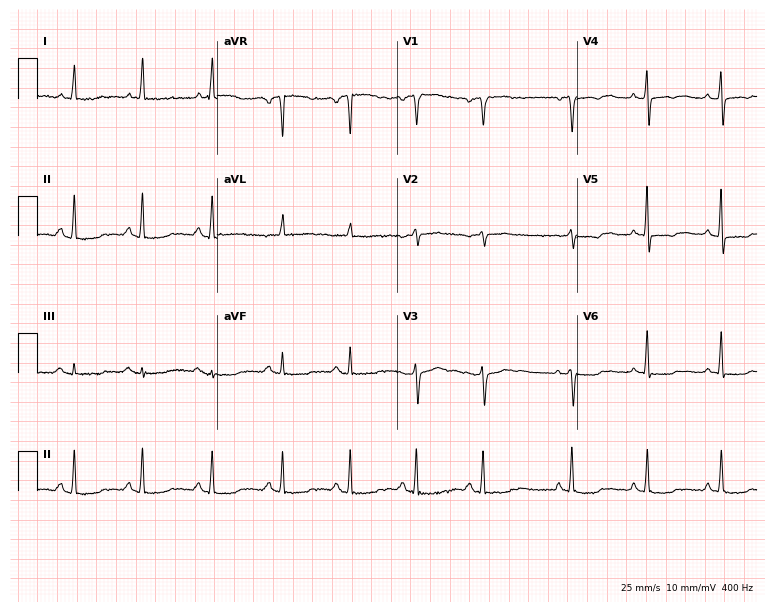
12-lead ECG from a 44-year-old female (7.3-second recording at 400 Hz). No first-degree AV block, right bundle branch block, left bundle branch block, sinus bradycardia, atrial fibrillation or sinus tachycardia recorded for this tracing.